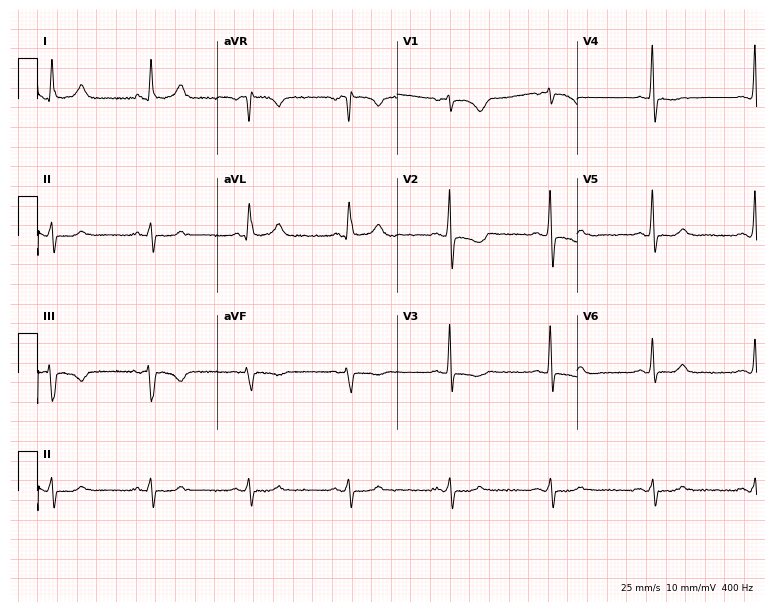
12-lead ECG (7.3-second recording at 400 Hz) from a 54-year-old female patient. Labelled as a normal ECG.